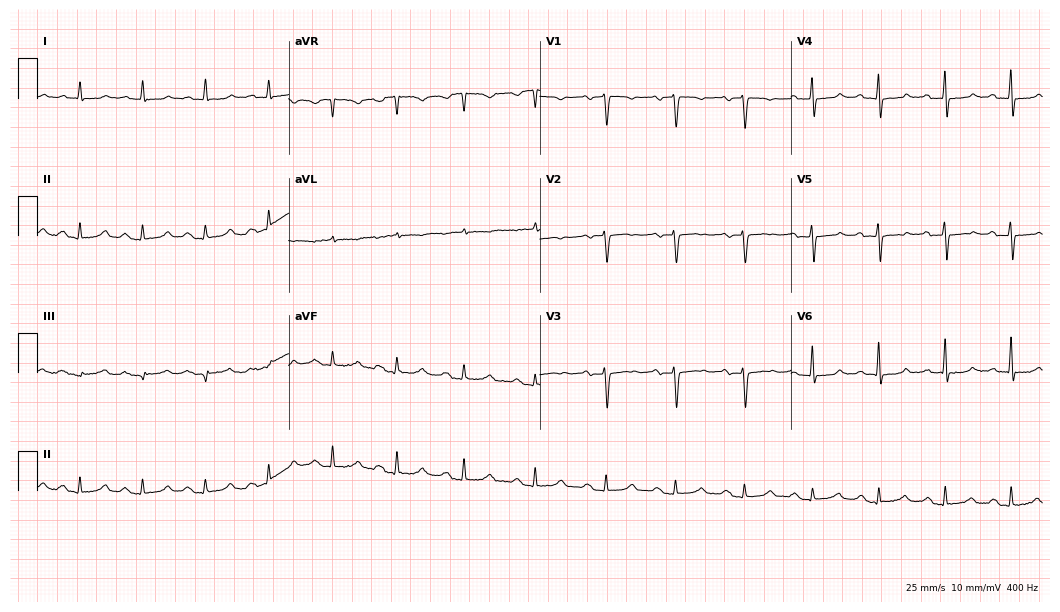
ECG — a woman, 74 years old. Labelled as a normal ECG.